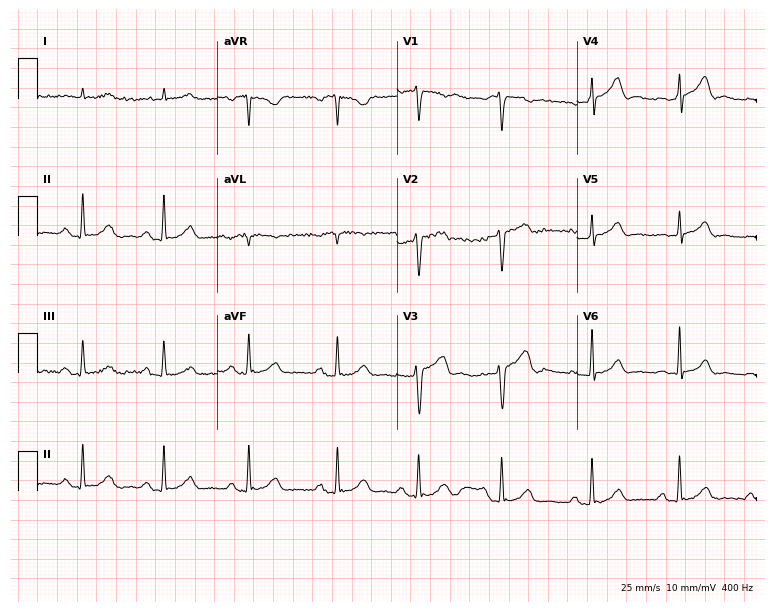
ECG — a male, 46 years old. Screened for six findings — first-degree AV block, right bundle branch block, left bundle branch block, sinus bradycardia, atrial fibrillation, sinus tachycardia — none is recorded.